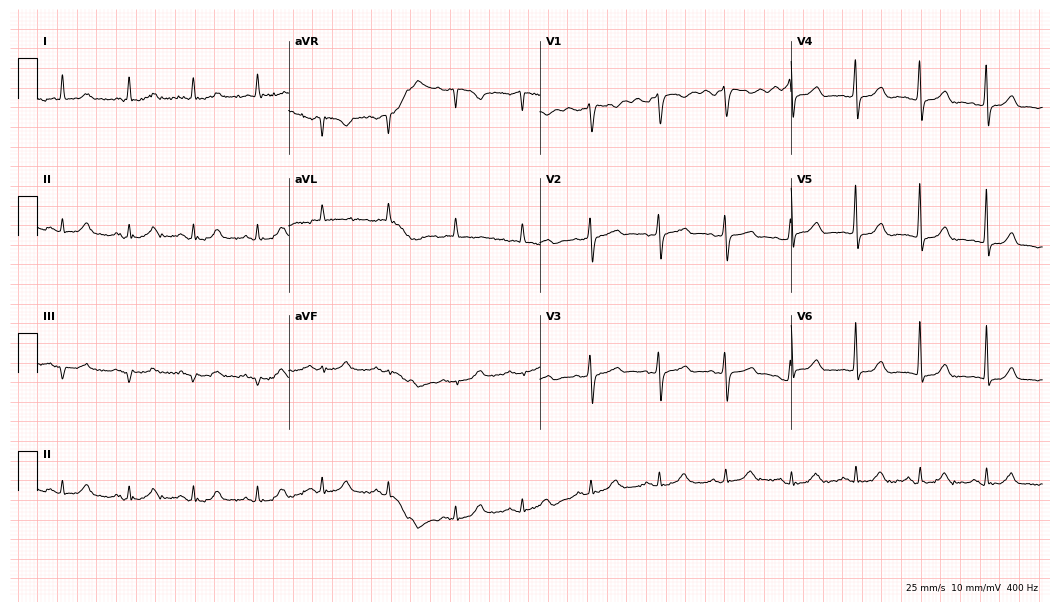
12-lead ECG from a female, 76 years old. Recorded interpretation: within normal limits.